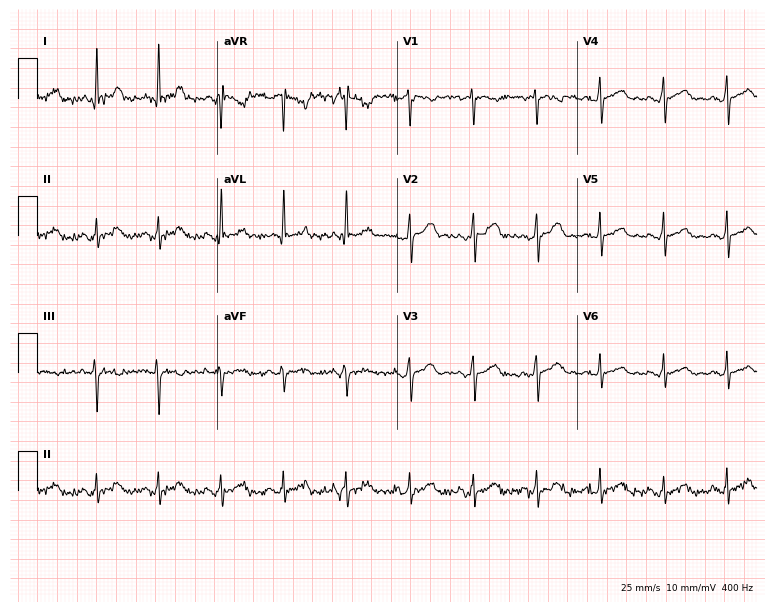
Electrocardiogram, a female, 33 years old. Overall reading on record: normal ECG.